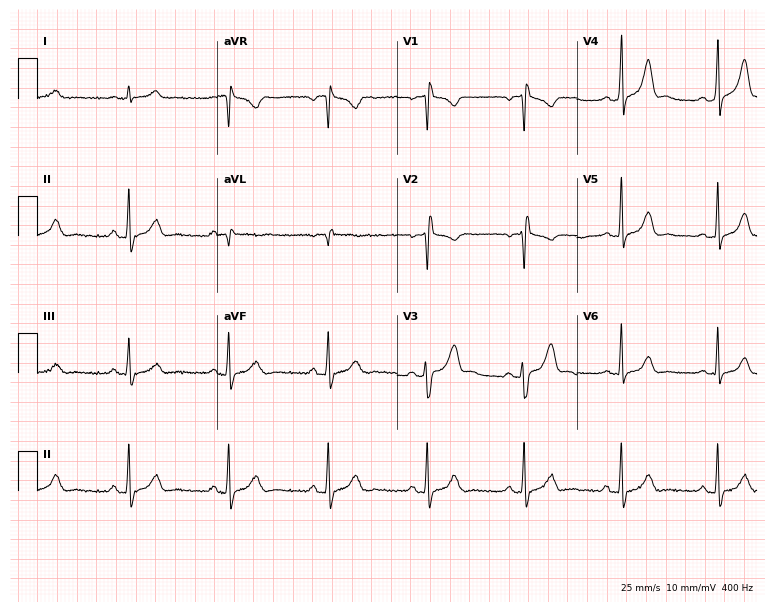
Electrocardiogram, a 45-year-old man. Of the six screened findings (first-degree AV block, right bundle branch block (RBBB), left bundle branch block (LBBB), sinus bradycardia, atrial fibrillation (AF), sinus tachycardia), none is recorded. Findings outside these six are not listed.